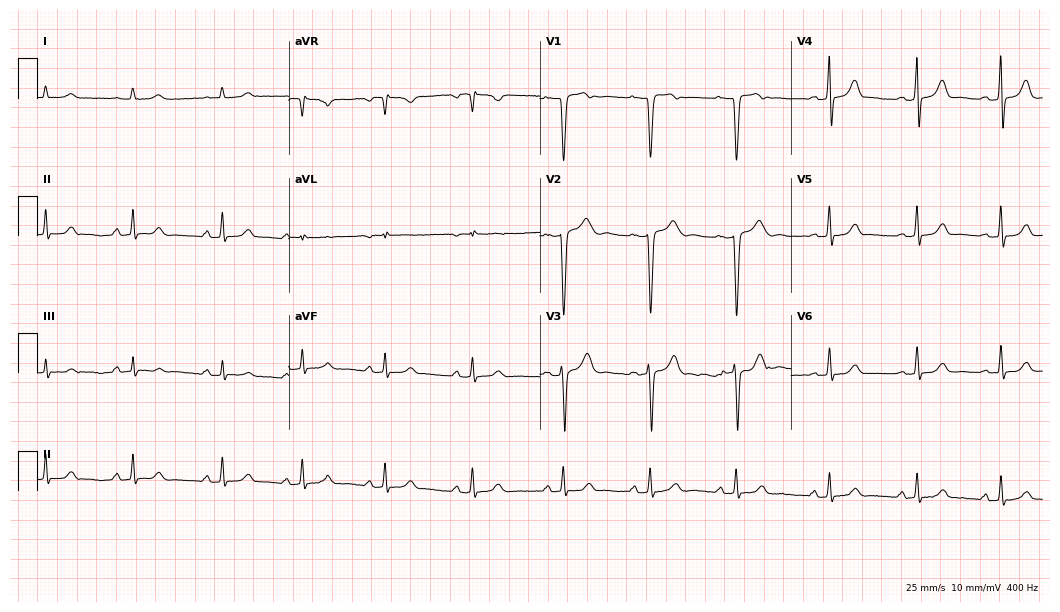
ECG (10.2-second recording at 400 Hz) — a woman, 19 years old. Labelled as a normal ECG.